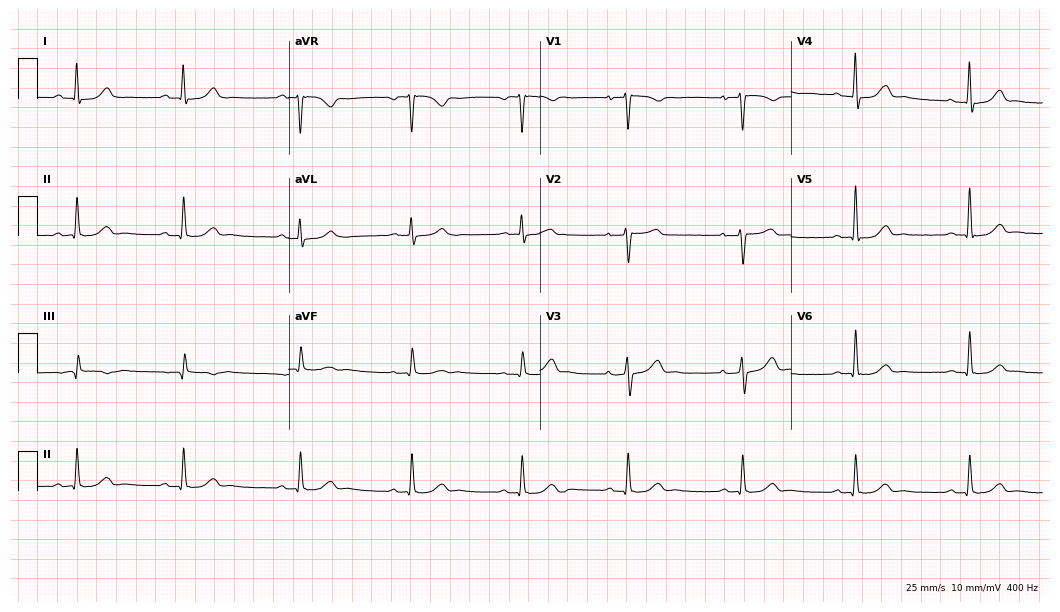
Standard 12-lead ECG recorded from a 43-year-old male patient (10.2-second recording at 400 Hz). None of these six findings is recorded: first-degree AV block, right bundle branch block, left bundle branch block, sinus bradycardia, atrial fibrillation, sinus tachycardia.